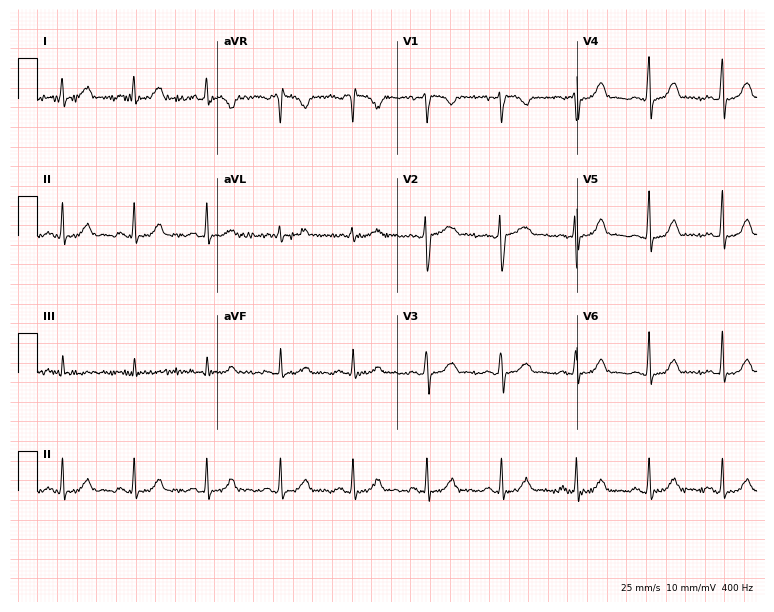
ECG (7.3-second recording at 400 Hz) — a 46-year-old female. Labelled as a normal ECG.